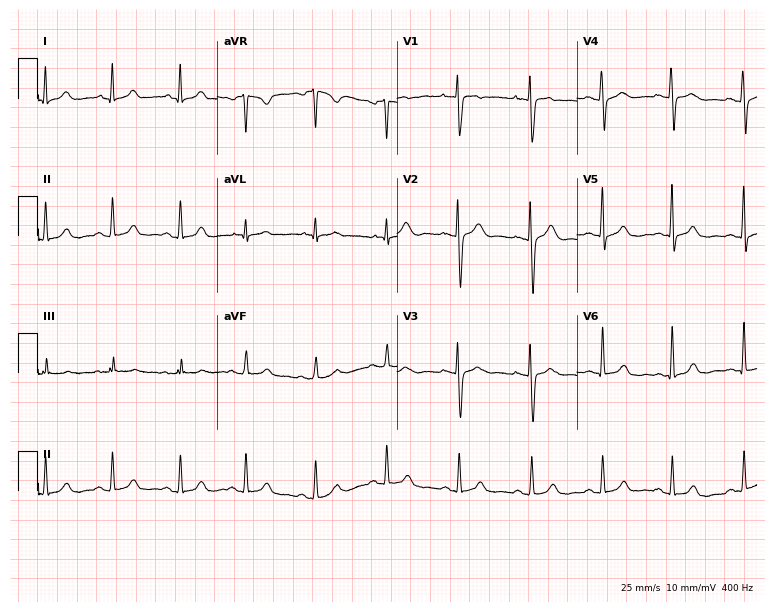
ECG (7.3-second recording at 400 Hz) — a woman, 34 years old. Labelled as a normal ECG.